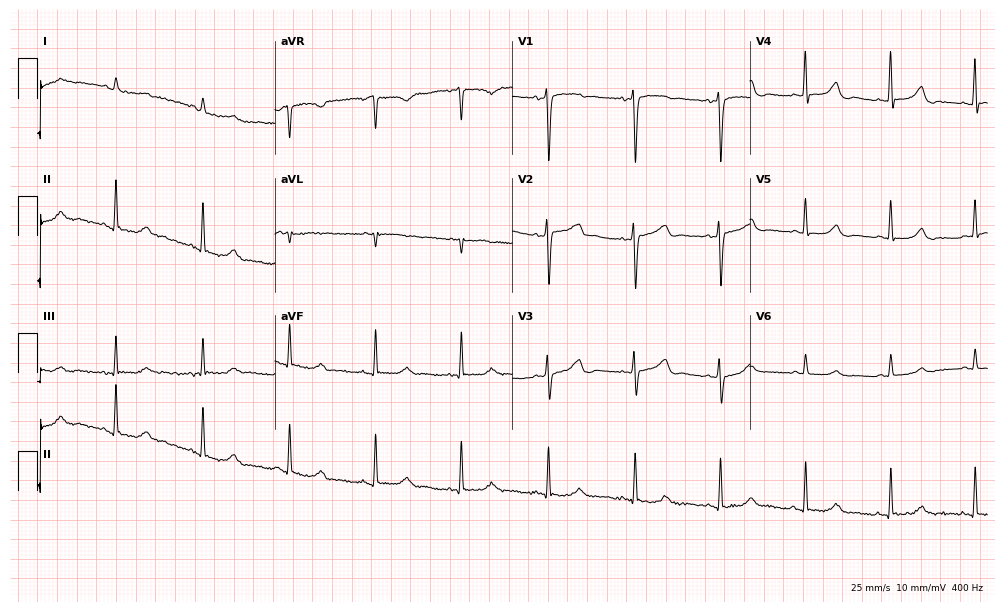
12-lead ECG (9.7-second recording at 400 Hz) from a man, 69 years old. Labelled as a normal ECG.